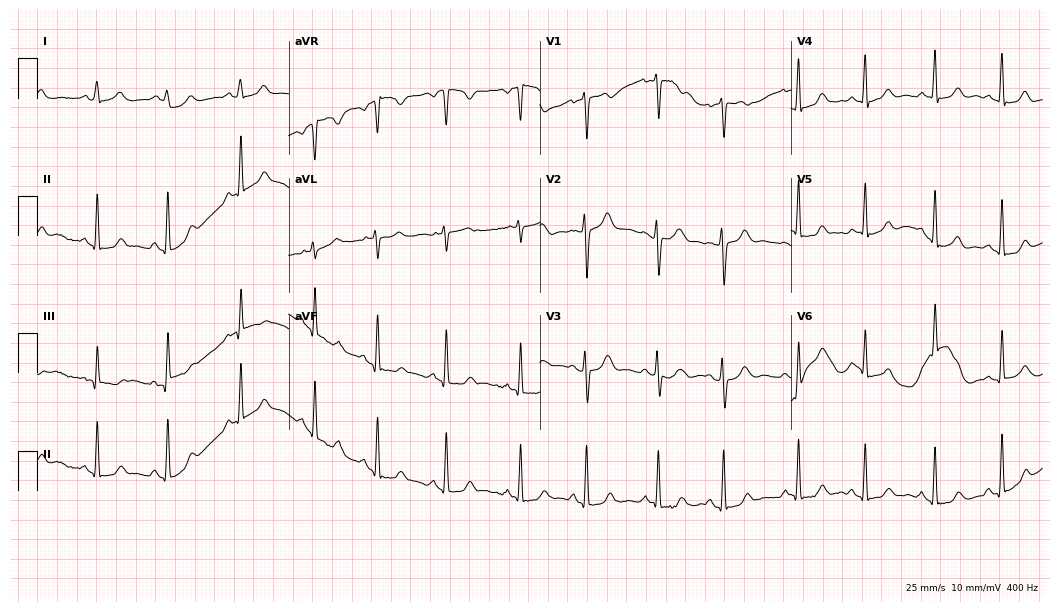
12-lead ECG (10.2-second recording at 400 Hz) from a 32-year-old woman. Screened for six findings — first-degree AV block, right bundle branch block, left bundle branch block, sinus bradycardia, atrial fibrillation, sinus tachycardia — none is recorded. Only these six findings were labelled.